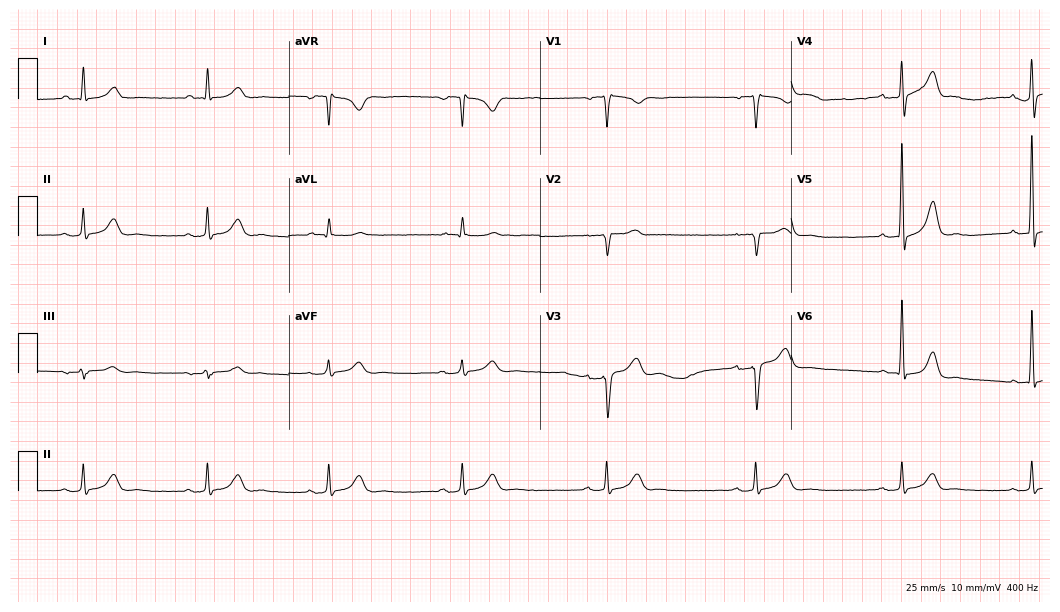
12-lead ECG (10.2-second recording at 400 Hz) from a 62-year-old man. Screened for six findings — first-degree AV block, right bundle branch block, left bundle branch block, sinus bradycardia, atrial fibrillation, sinus tachycardia — none is recorded.